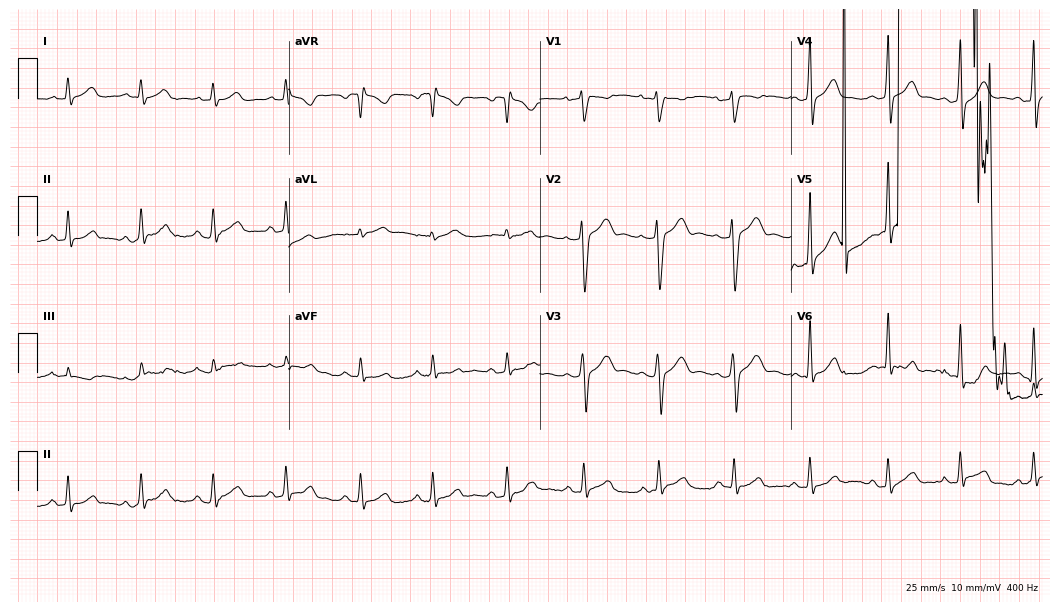
Electrocardiogram, a 28-year-old male. Of the six screened findings (first-degree AV block, right bundle branch block, left bundle branch block, sinus bradycardia, atrial fibrillation, sinus tachycardia), none is recorded.